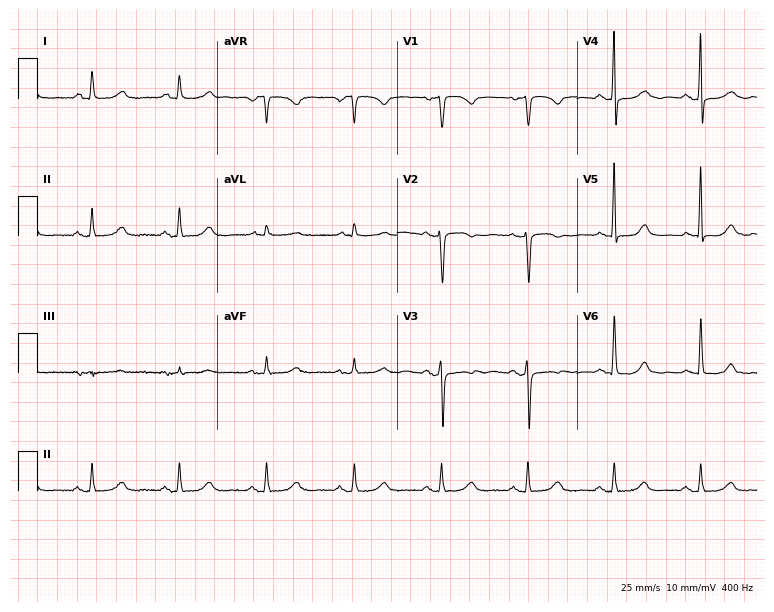
Standard 12-lead ECG recorded from a female patient, 64 years old (7.3-second recording at 400 Hz). None of these six findings is recorded: first-degree AV block, right bundle branch block, left bundle branch block, sinus bradycardia, atrial fibrillation, sinus tachycardia.